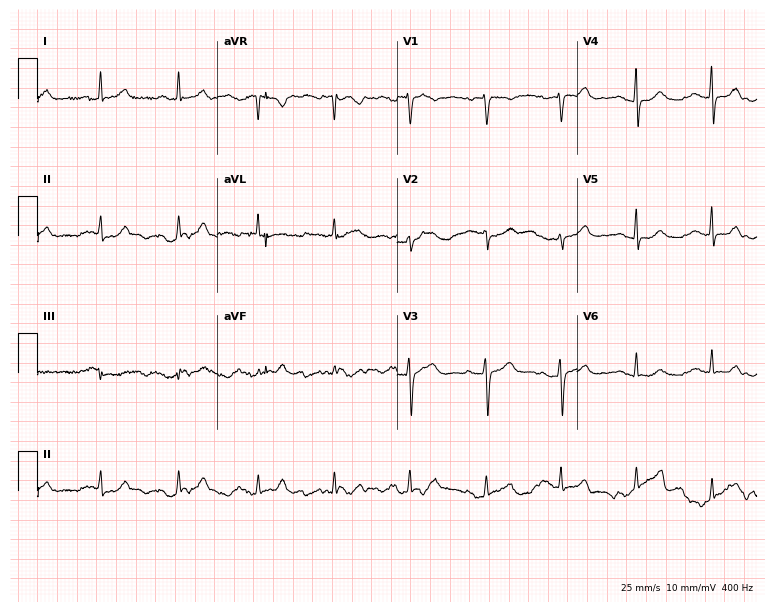
ECG (7.3-second recording at 400 Hz) — a 55-year-old woman. Labelled as a normal ECG.